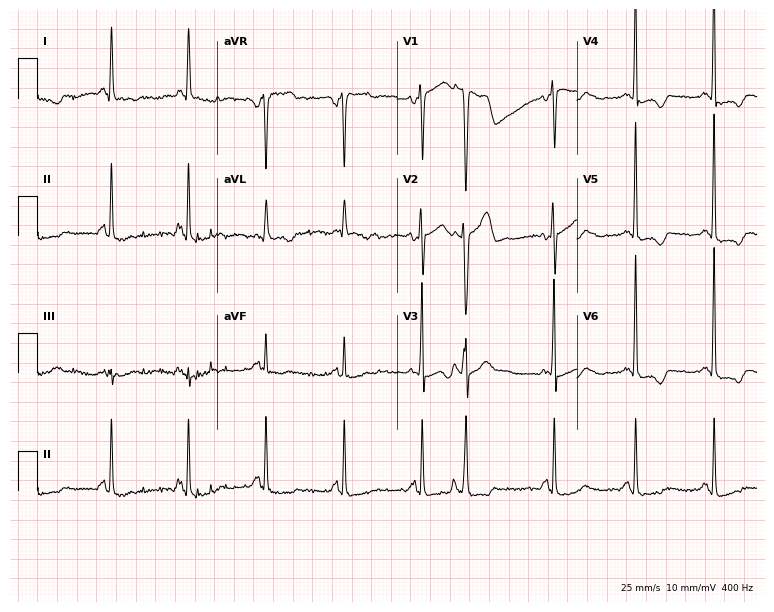
ECG — a female patient, 79 years old. Screened for six findings — first-degree AV block, right bundle branch block, left bundle branch block, sinus bradycardia, atrial fibrillation, sinus tachycardia — none is recorded. Only these six findings were labelled.